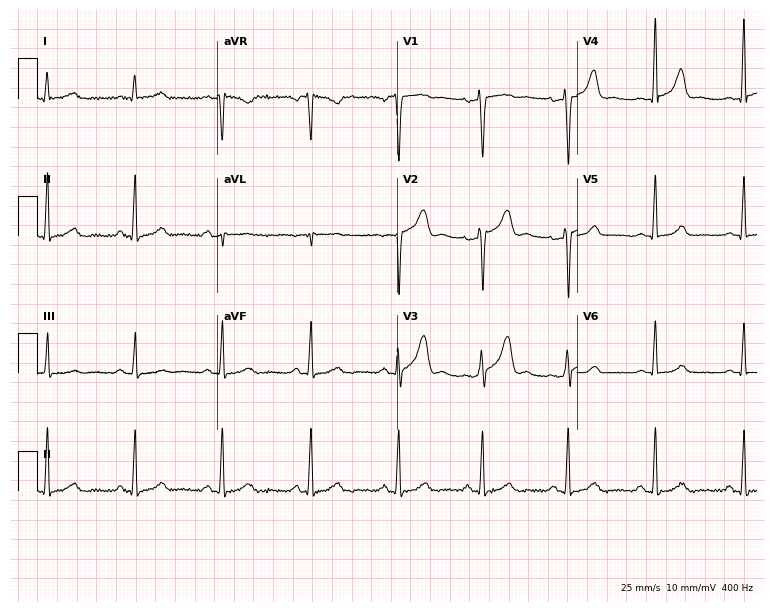
12-lead ECG (7.3-second recording at 400 Hz) from a 39-year-old man. Labelled as a normal ECG.